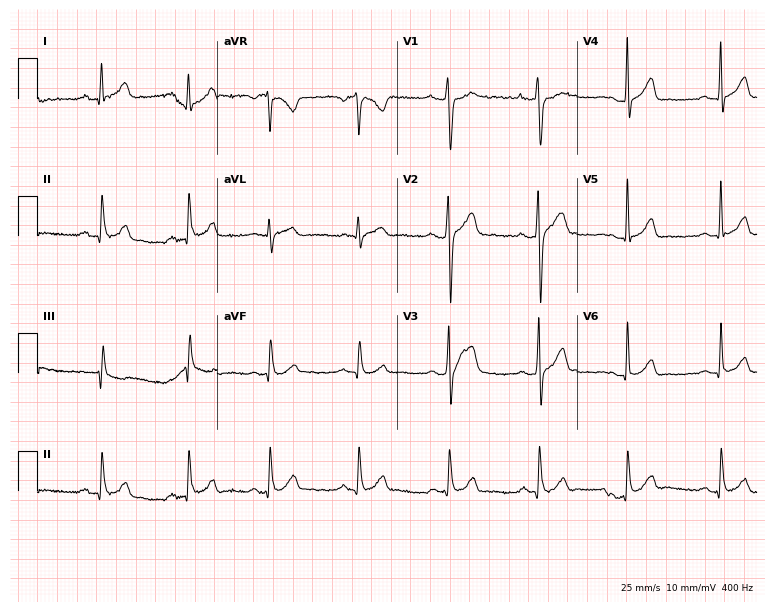
12-lead ECG from a 25-year-old male. Labelled as a normal ECG.